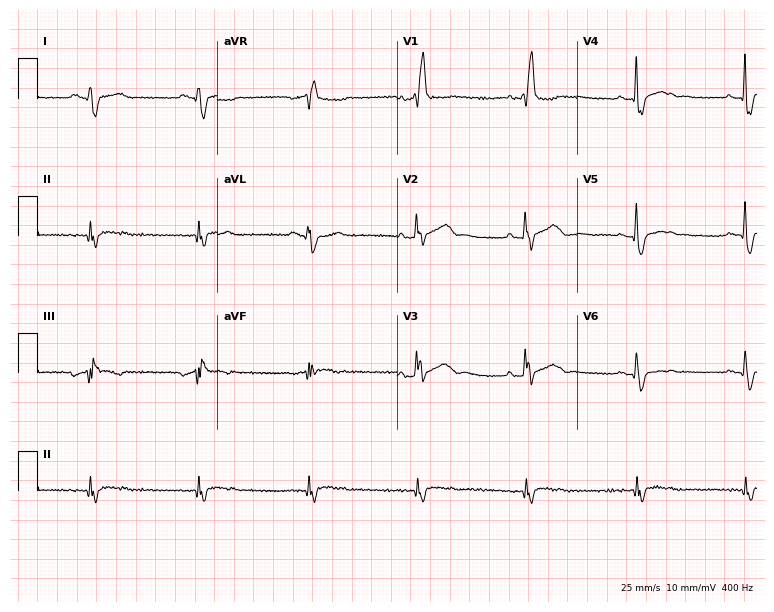
12-lead ECG from a man, 47 years old. Shows right bundle branch block.